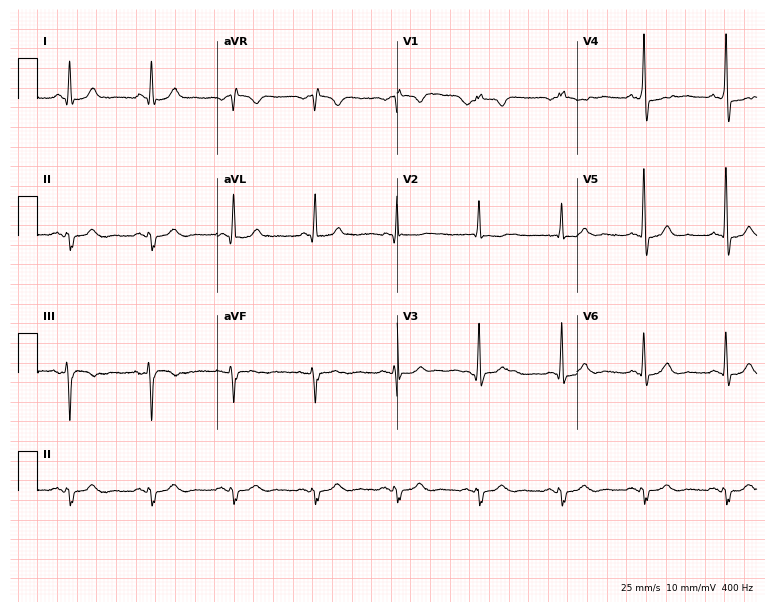
Standard 12-lead ECG recorded from a 72-year-old man (7.3-second recording at 400 Hz). None of these six findings is recorded: first-degree AV block, right bundle branch block, left bundle branch block, sinus bradycardia, atrial fibrillation, sinus tachycardia. Only these six findings were labelled.